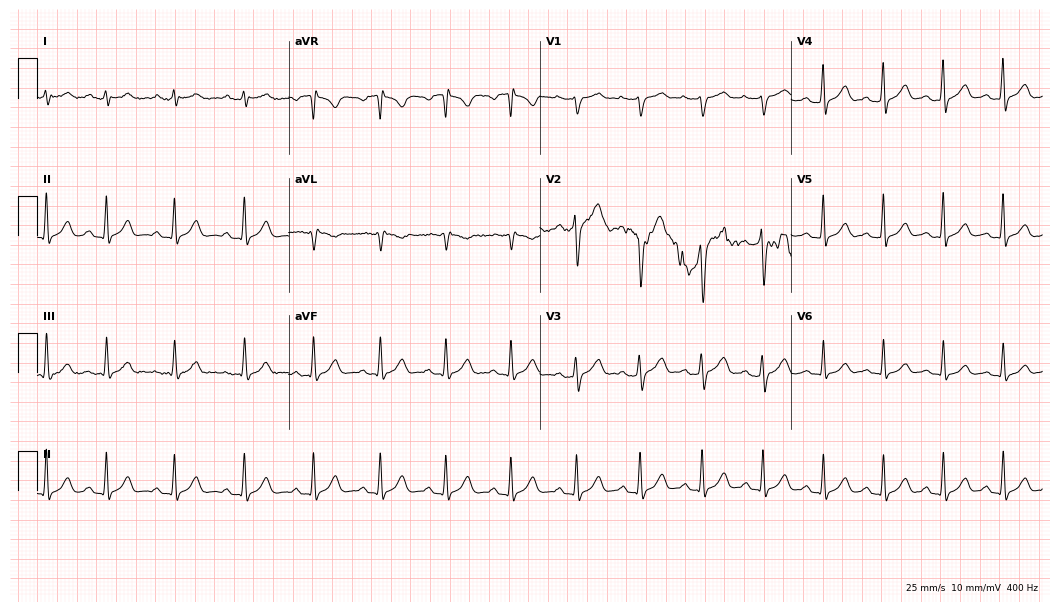
Standard 12-lead ECG recorded from a 23-year-old male patient (10.2-second recording at 400 Hz). Read as a normal ECG.